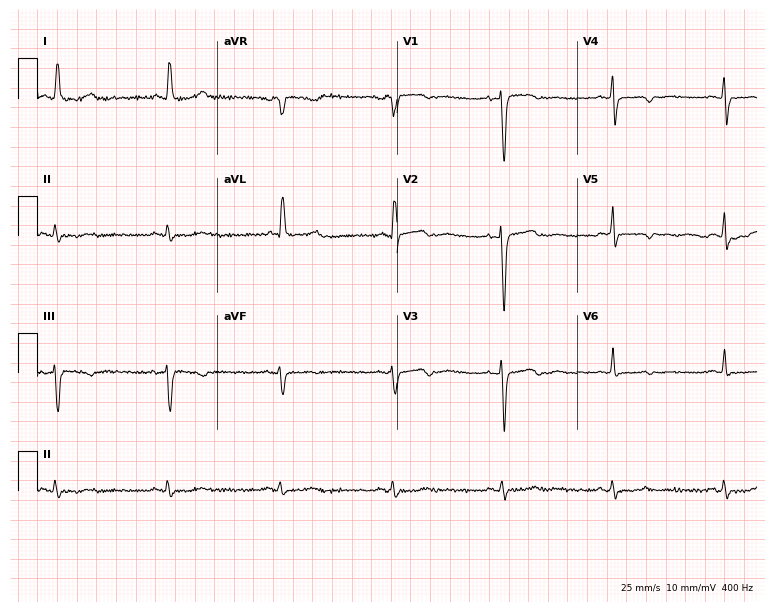
12-lead ECG from a female patient, 69 years old. No first-degree AV block, right bundle branch block (RBBB), left bundle branch block (LBBB), sinus bradycardia, atrial fibrillation (AF) or sinus tachycardia recorded for this tracing. Findings outside these six are not listed.